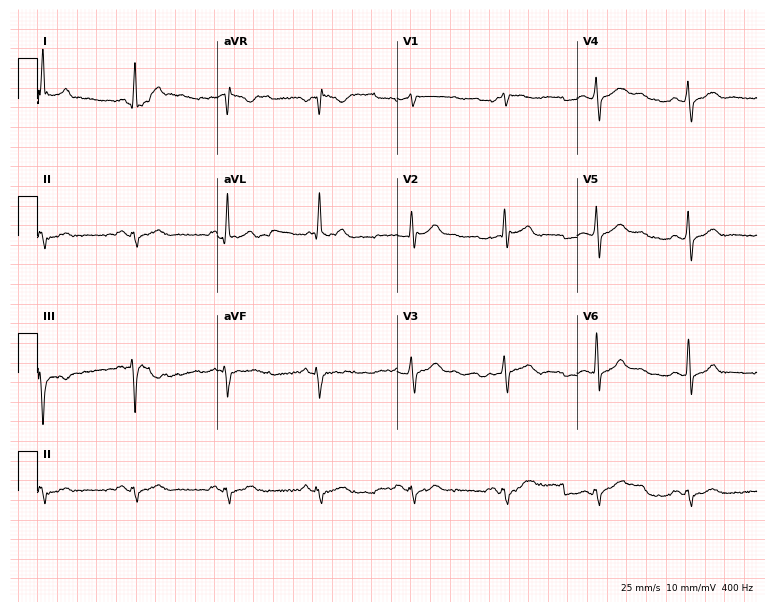
ECG (7.3-second recording at 400 Hz) — a man, 59 years old. Screened for six findings — first-degree AV block, right bundle branch block, left bundle branch block, sinus bradycardia, atrial fibrillation, sinus tachycardia — none is recorded.